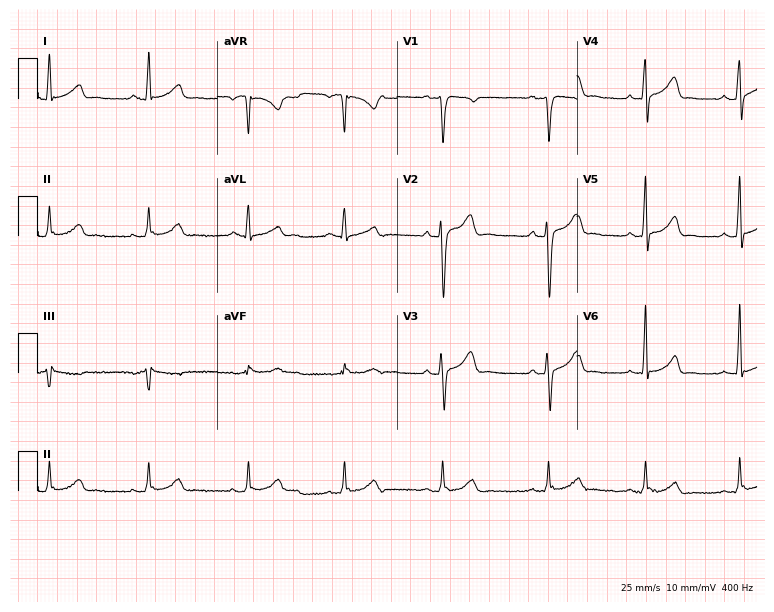
12-lead ECG from a 66-year-old man. Labelled as a normal ECG.